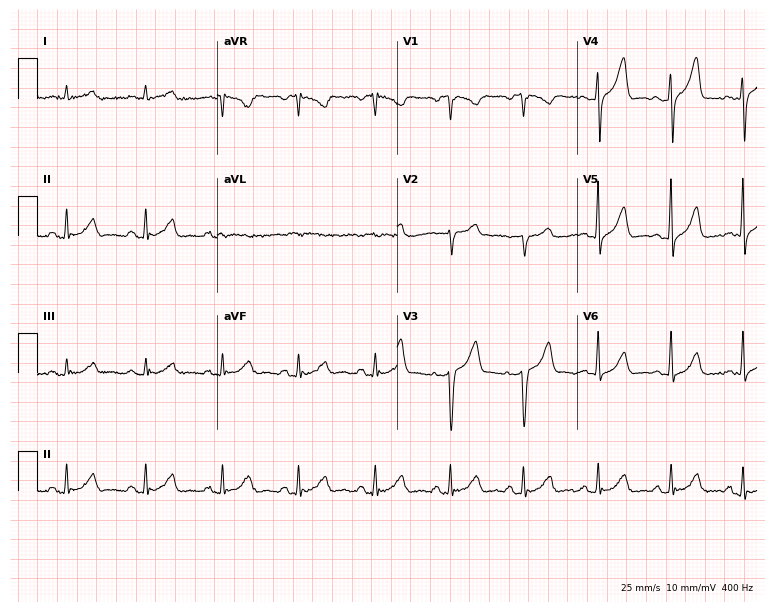
ECG (7.3-second recording at 400 Hz) — a male patient, 58 years old. Screened for six findings — first-degree AV block, right bundle branch block, left bundle branch block, sinus bradycardia, atrial fibrillation, sinus tachycardia — none is recorded.